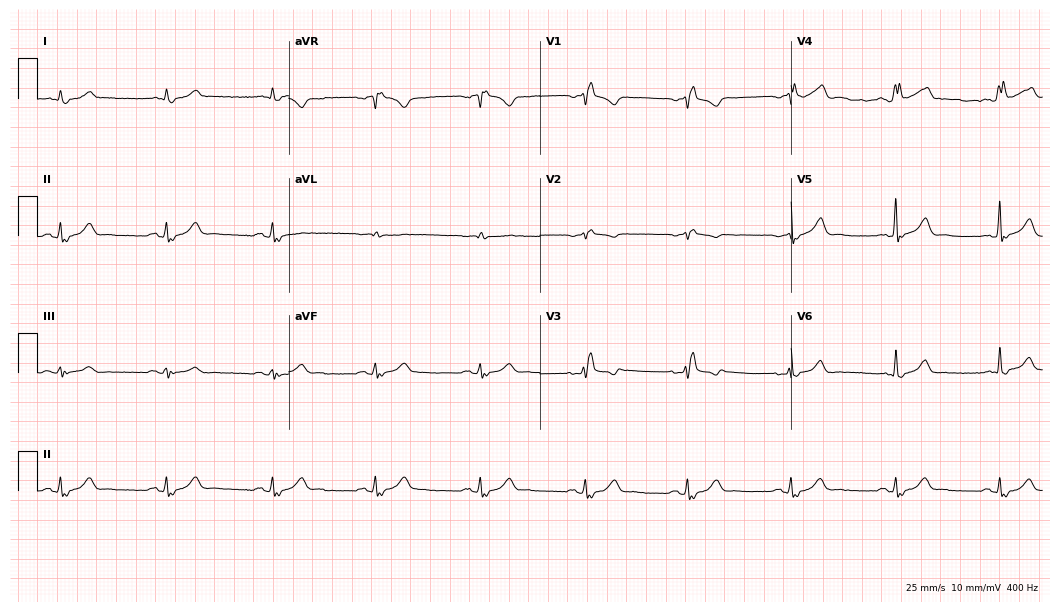
ECG (10.2-second recording at 400 Hz) — a male patient, 75 years old. Findings include right bundle branch block.